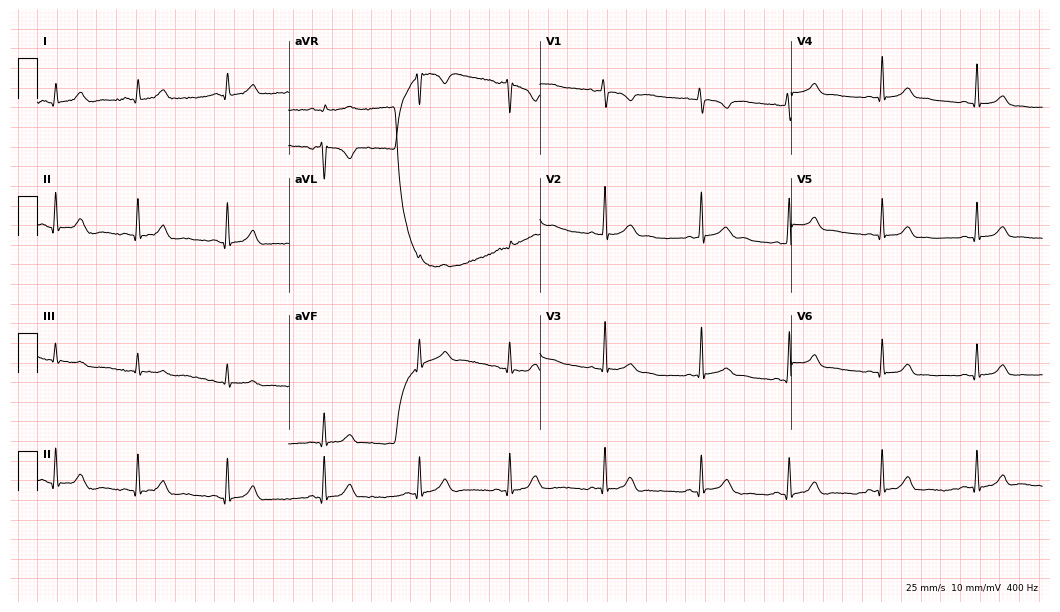
Standard 12-lead ECG recorded from a female, 24 years old (10.2-second recording at 400 Hz). Read as a normal ECG.